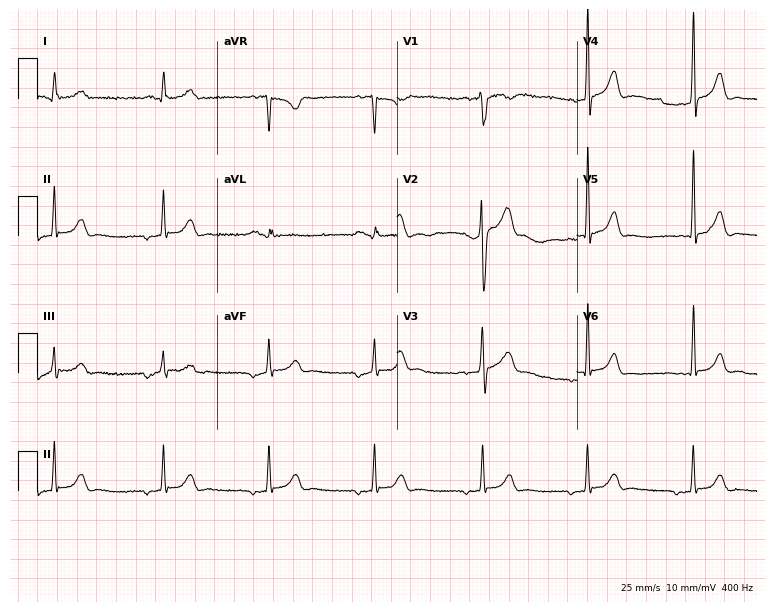
ECG (7.3-second recording at 400 Hz) — a 29-year-old man. Screened for six findings — first-degree AV block, right bundle branch block, left bundle branch block, sinus bradycardia, atrial fibrillation, sinus tachycardia — none is recorded.